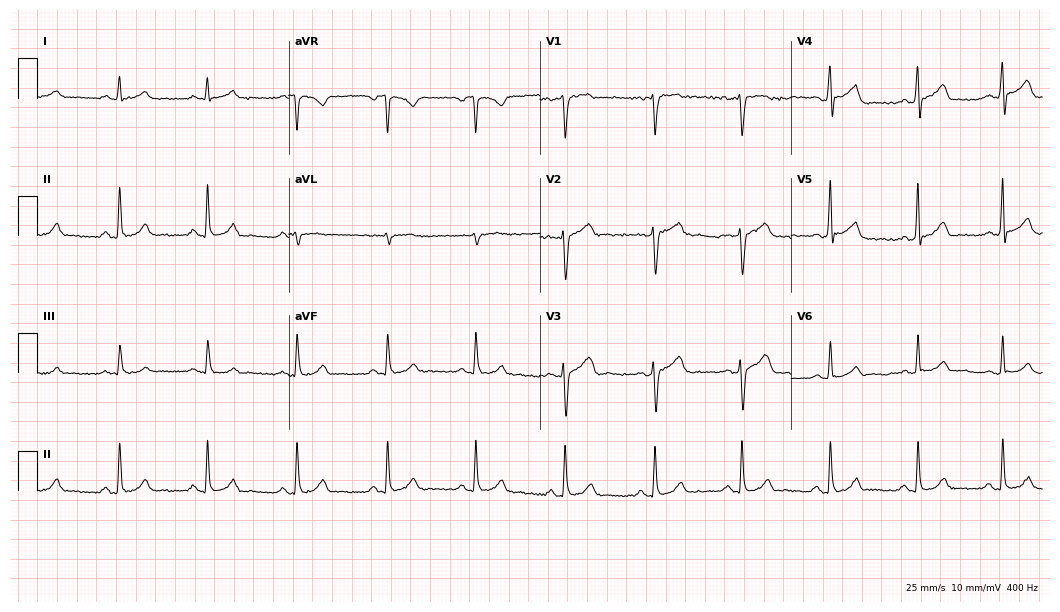
Standard 12-lead ECG recorded from a 58-year-old man (10.2-second recording at 400 Hz). Read as a normal ECG.